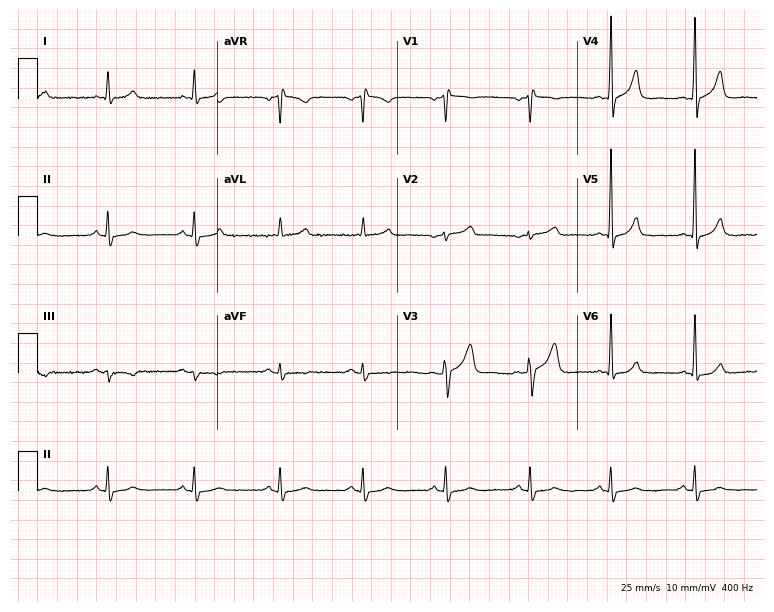
12-lead ECG from a 56-year-old man. Screened for six findings — first-degree AV block, right bundle branch block, left bundle branch block, sinus bradycardia, atrial fibrillation, sinus tachycardia — none is recorded.